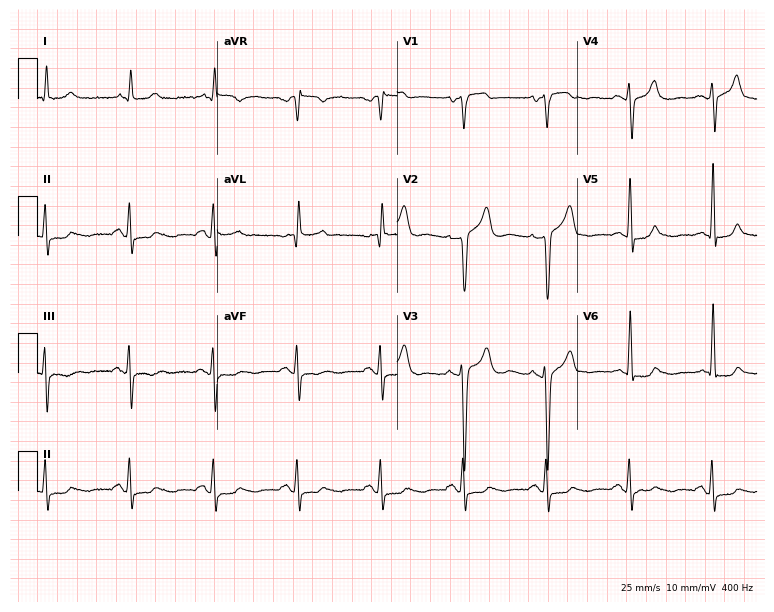
Electrocardiogram, a male patient, 80 years old. Of the six screened findings (first-degree AV block, right bundle branch block, left bundle branch block, sinus bradycardia, atrial fibrillation, sinus tachycardia), none is recorded. Only these six findings were labelled.